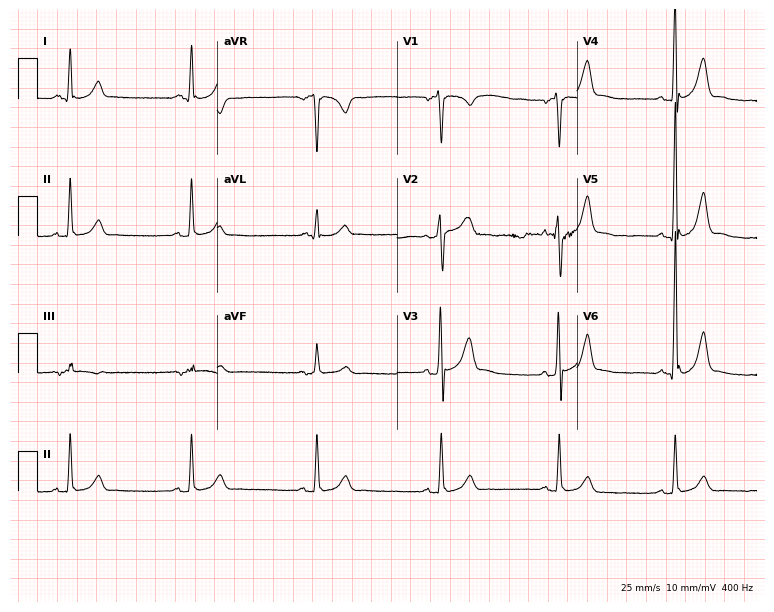
Resting 12-lead electrocardiogram (7.3-second recording at 400 Hz). Patient: a 47-year-old male. Read as a normal ECG.